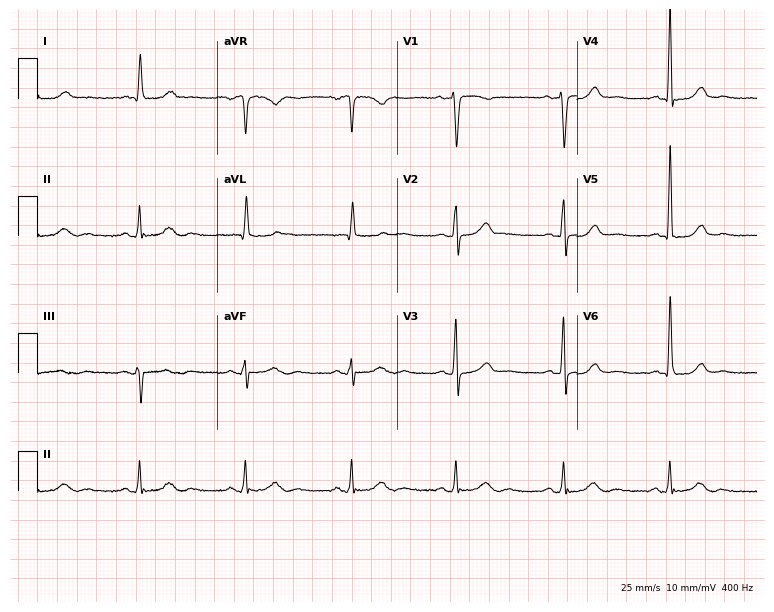
12-lead ECG from a 64-year-old woman. No first-degree AV block, right bundle branch block (RBBB), left bundle branch block (LBBB), sinus bradycardia, atrial fibrillation (AF) or sinus tachycardia recorded for this tracing.